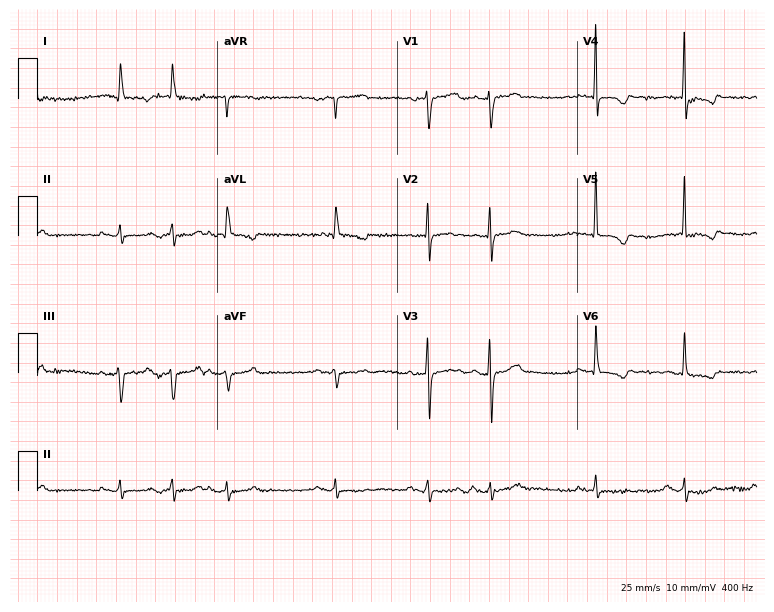
Resting 12-lead electrocardiogram (7.3-second recording at 400 Hz). Patient: a male, 84 years old. None of these six findings is recorded: first-degree AV block, right bundle branch block, left bundle branch block, sinus bradycardia, atrial fibrillation, sinus tachycardia. Findings outside these six are not listed.